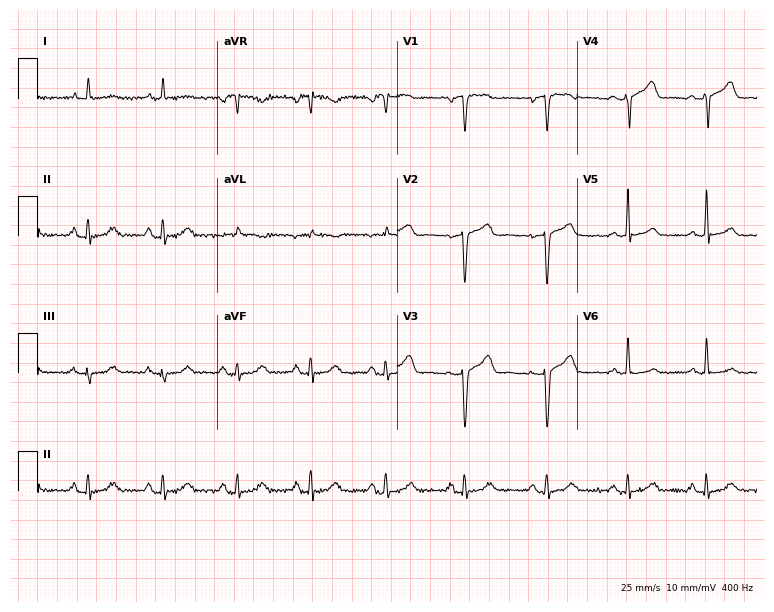
Electrocardiogram, a female patient, 73 years old. Of the six screened findings (first-degree AV block, right bundle branch block, left bundle branch block, sinus bradycardia, atrial fibrillation, sinus tachycardia), none is recorded.